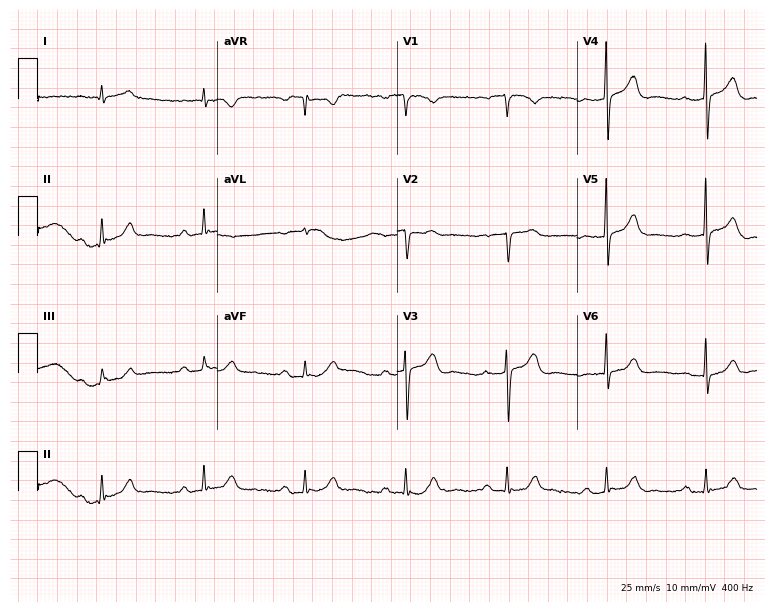
Standard 12-lead ECG recorded from a male, 81 years old (7.3-second recording at 400 Hz). The tracing shows first-degree AV block.